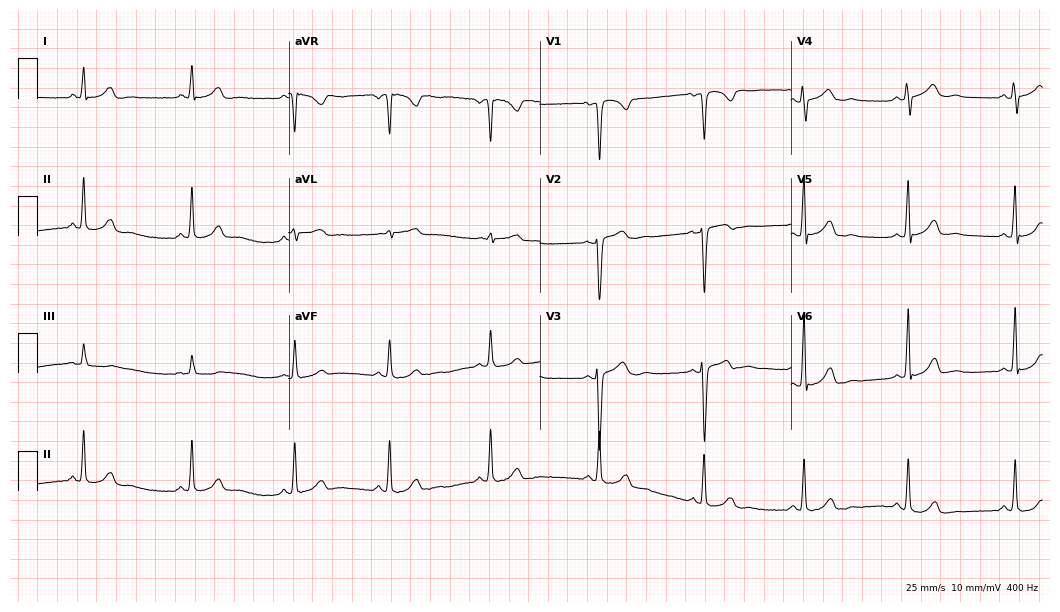
ECG (10.2-second recording at 400 Hz) — a woman, 36 years old. Screened for six findings — first-degree AV block, right bundle branch block, left bundle branch block, sinus bradycardia, atrial fibrillation, sinus tachycardia — none is recorded.